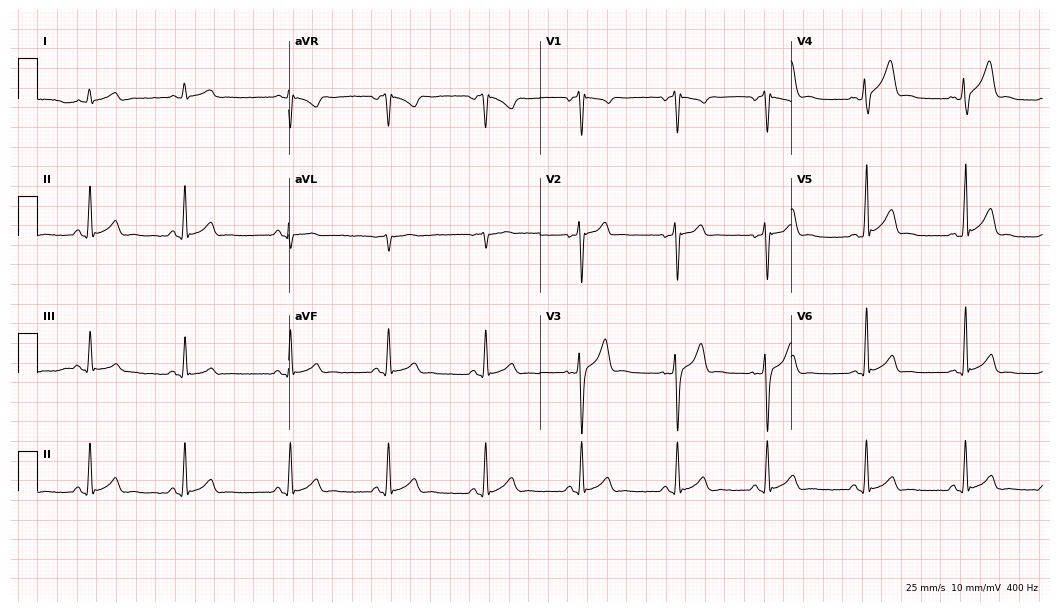
ECG — a 25-year-old male. Labelled as a normal ECG.